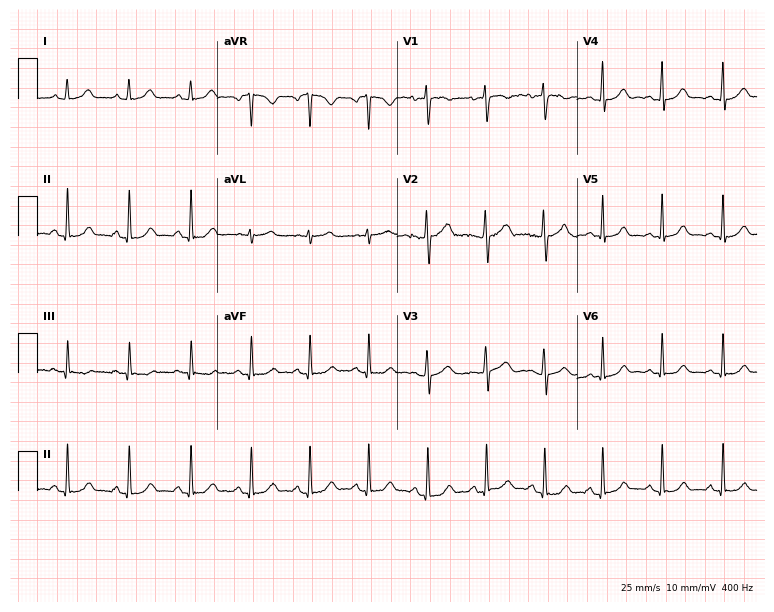
Standard 12-lead ECG recorded from a female, 20 years old (7.3-second recording at 400 Hz). Read as a normal ECG.